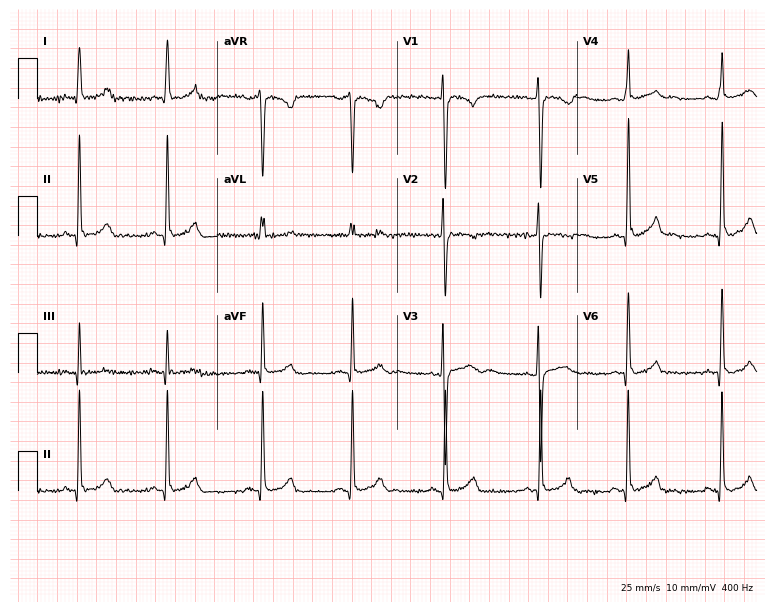
Standard 12-lead ECG recorded from a woman, 34 years old. None of these six findings is recorded: first-degree AV block, right bundle branch block, left bundle branch block, sinus bradycardia, atrial fibrillation, sinus tachycardia. Only these six findings were labelled.